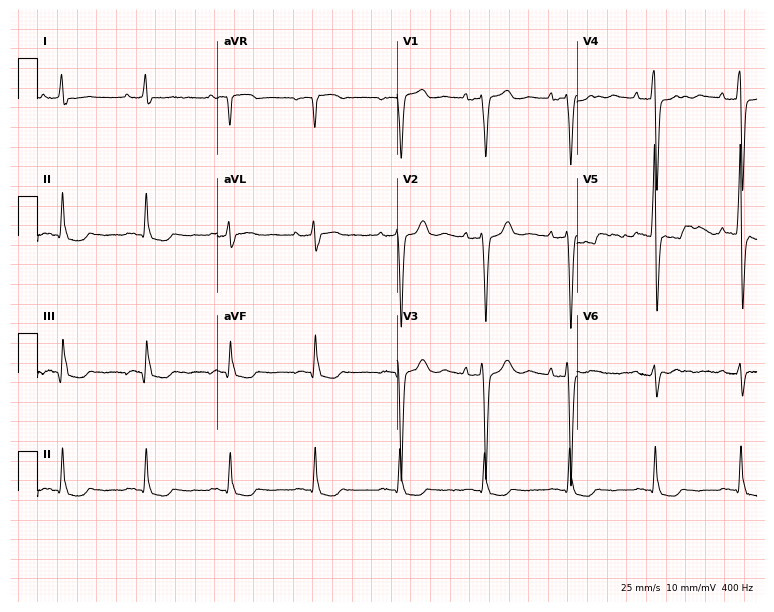
Resting 12-lead electrocardiogram. Patient: a man, 82 years old. None of these six findings is recorded: first-degree AV block, right bundle branch block, left bundle branch block, sinus bradycardia, atrial fibrillation, sinus tachycardia.